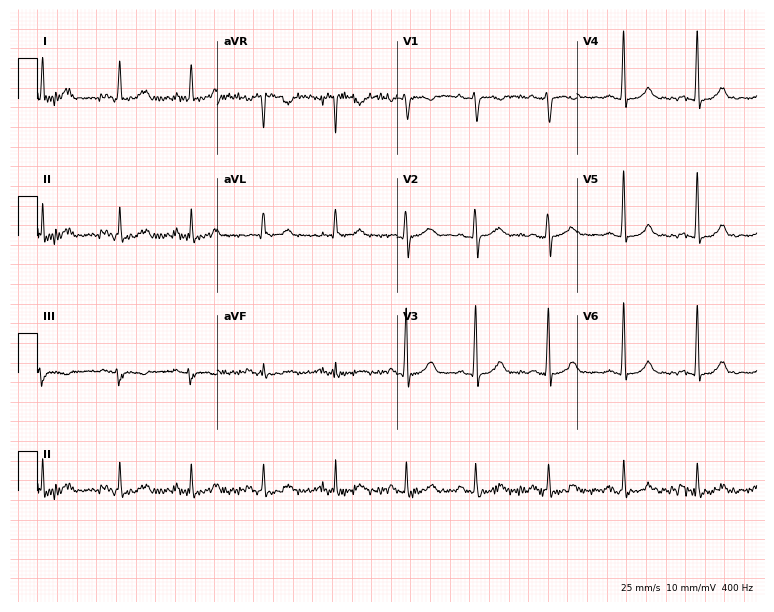
ECG — a female patient, 26 years old. Screened for six findings — first-degree AV block, right bundle branch block, left bundle branch block, sinus bradycardia, atrial fibrillation, sinus tachycardia — none is recorded.